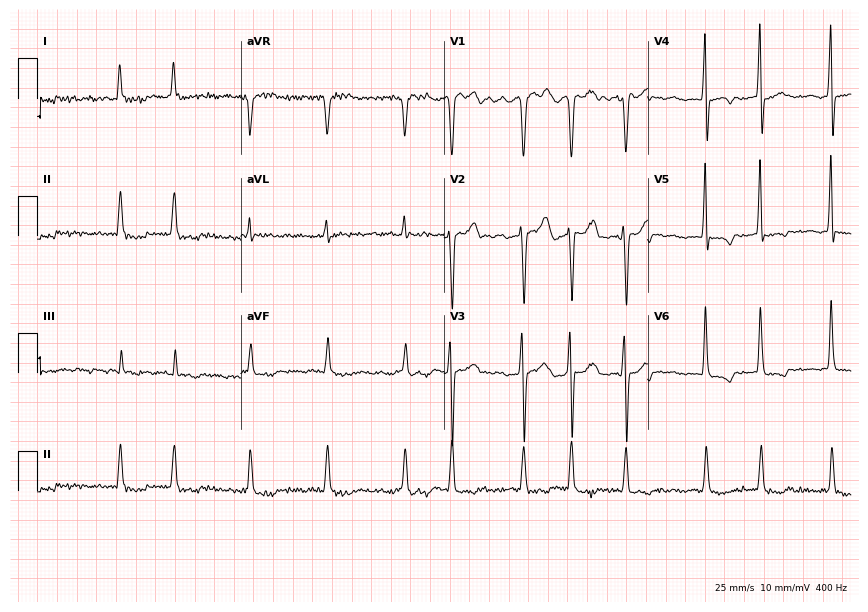
Electrocardiogram, a 68-year-old male. Interpretation includes atrial fibrillation.